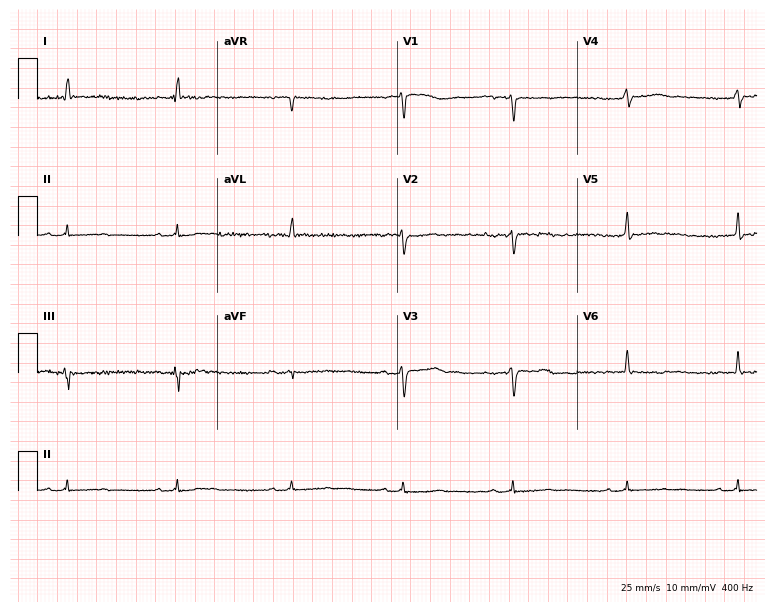
Resting 12-lead electrocardiogram (7.3-second recording at 400 Hz). Patient: a female, 36 years old. None of these six findings is recorded: first-degree AV block, right bundle branch block (RBBB), left bundle branch block (LBBB), sinus bradycardia, atrial fibrillation (AF), sinus tachycardia.